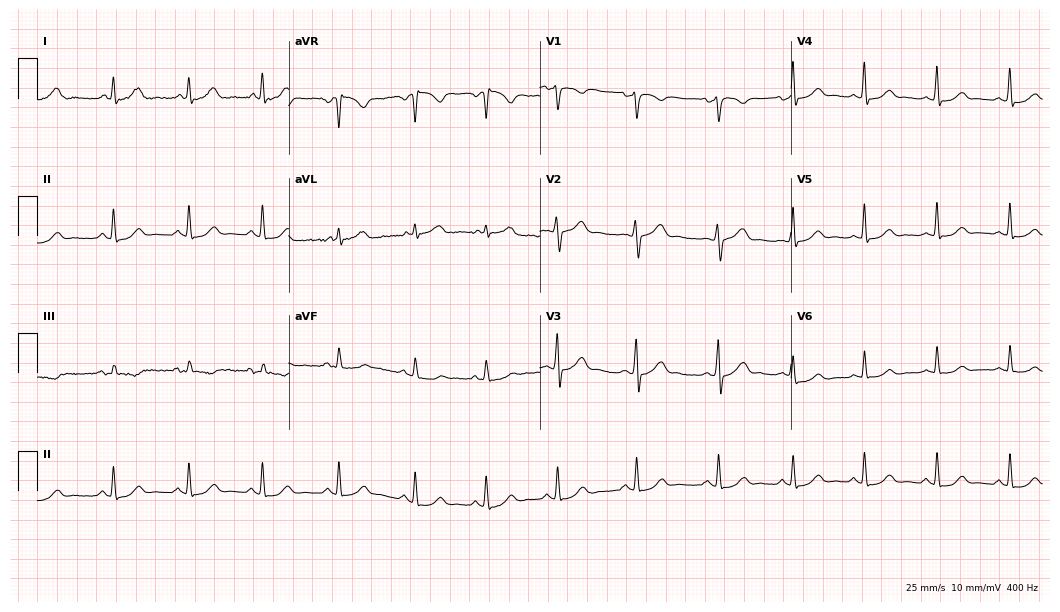
12-lead ECG from a 28-year-old female. Recorded interpretation: within normal limits.